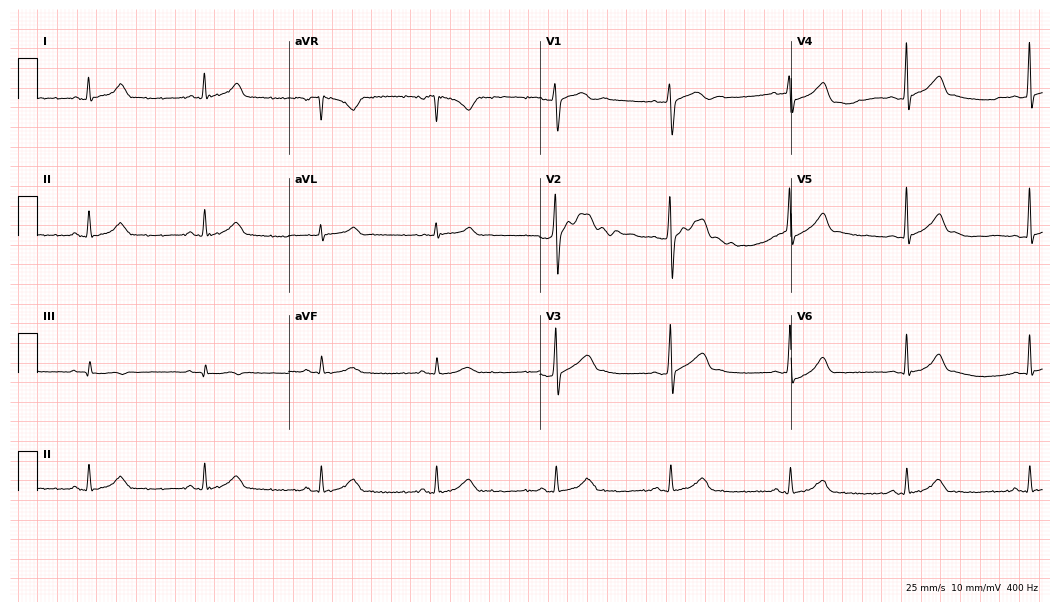
Electrocardiogram, a male, 30 years old. Overall reading on record: normal ECG.